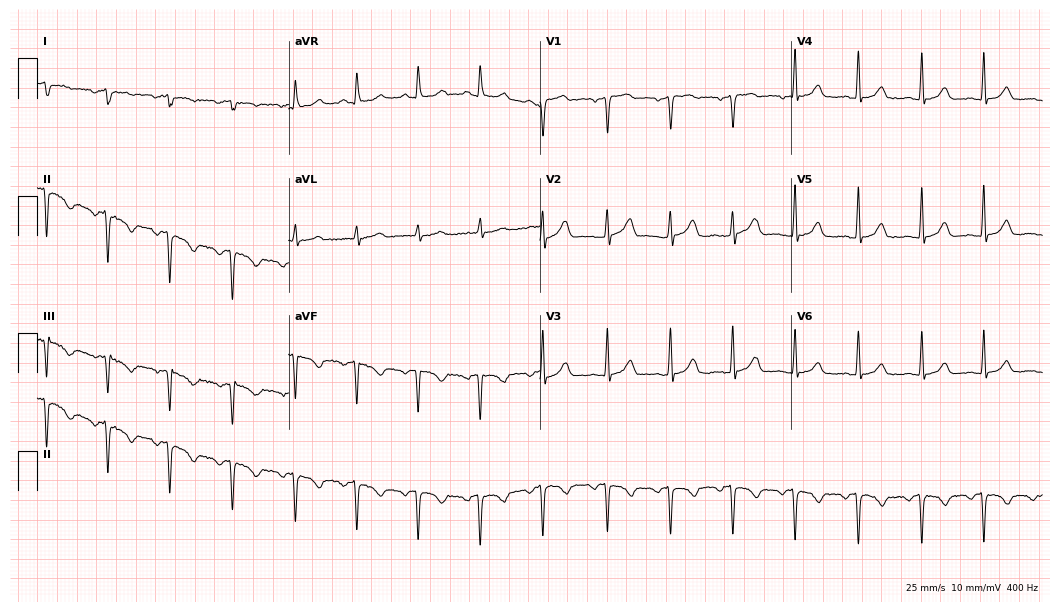
Electrocardiogram, a female patient, 41 years old. Of the six screened findings (first-degree AV block, right bundle branch block, left bundle branch block, sinus bradycardia, atrial fibrillation, sinus tachycardia), none is recorded. Only these six findings were labelled.